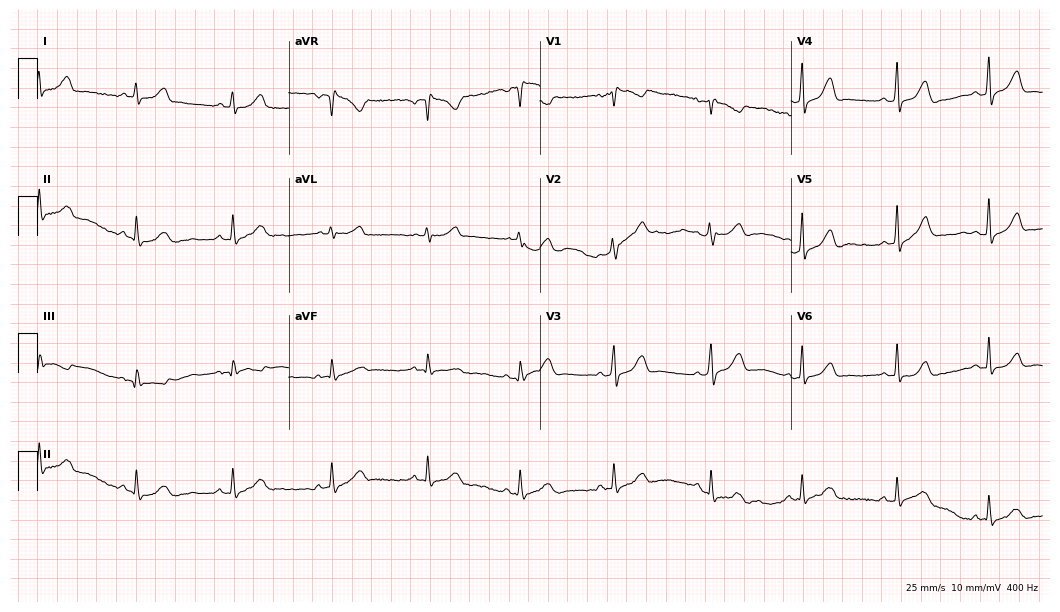
Resting 12-lead electrocardiogram. Patient: a 40-year-old female. None of these six findings is recorded: first-degree AV block, right bundle branch block, left bundle branch block, sinus bradycardia, atrial fibrillation, sinus tachycardia.